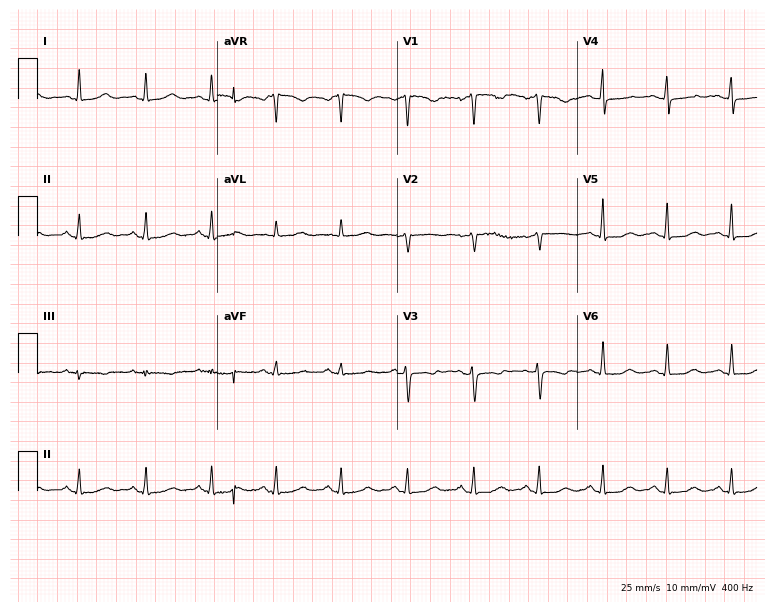
Electrocardiogram (7.3-second recording at 400 Hz), a 47-year-old woman. Of the six screened findings (first-degree AV block, right bundle branch block, left bundle branch block, sinus bradycardia, atrial fibrillation, sinus tachycardia), none is recorded.